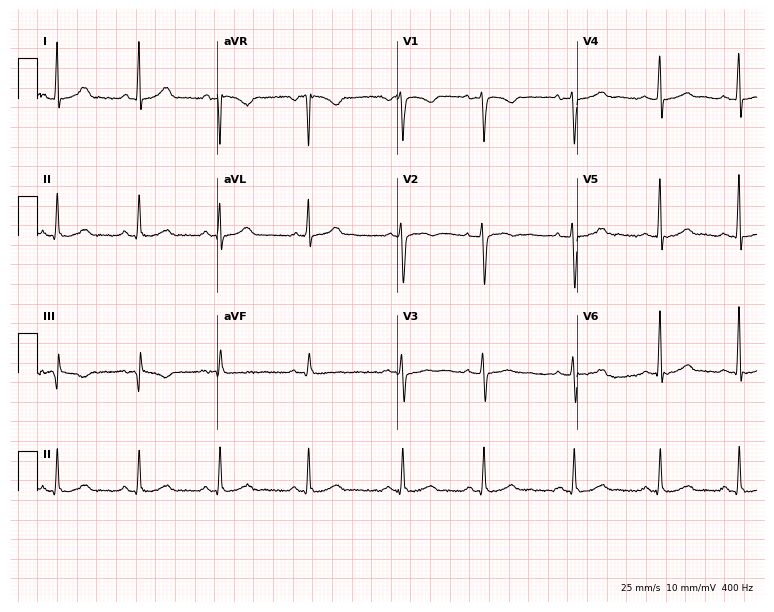
Resting 12-lead electrocardiogram. Patient: a 35-year-old female. None of these six findings is recorded: first-degree AV block, right bundle branch block (RBBB), left bundle branch block (LBBB), sinus bradycardia, atrial fibrillation (AF), sinus tachycardia. Findings outside these six are not listed.